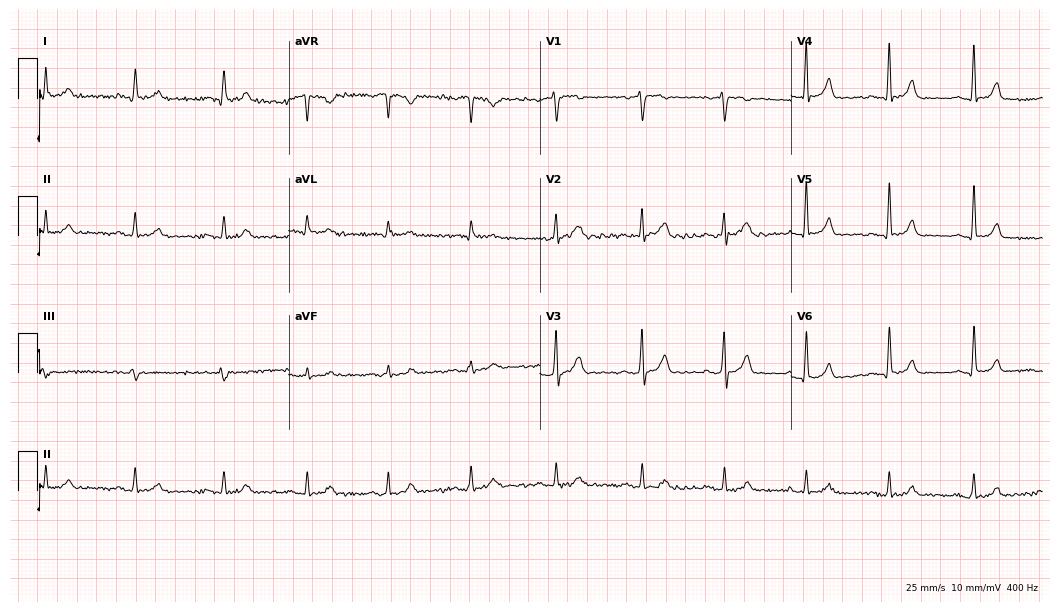
Standard 12-lead ECG recorded from a 41-year-old male patient. Read as a normal ECG.